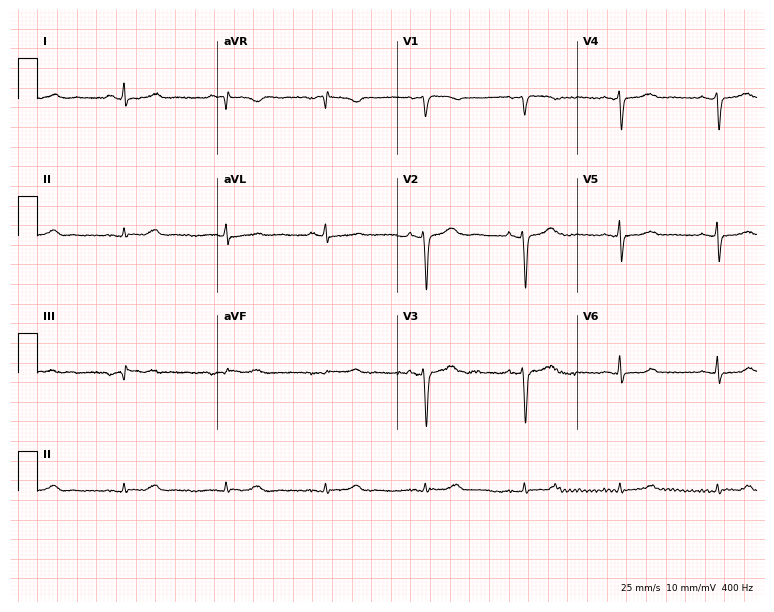
12-lead ECG (7.3-second recording at 400 Hz) from a 68-year-old woman. Screened for six findings — first-degree AV block, right bundle branch block, left bundle branch block, sinus bradycardia, atrial fibrillation, sinus tachycardia — none is recorded.